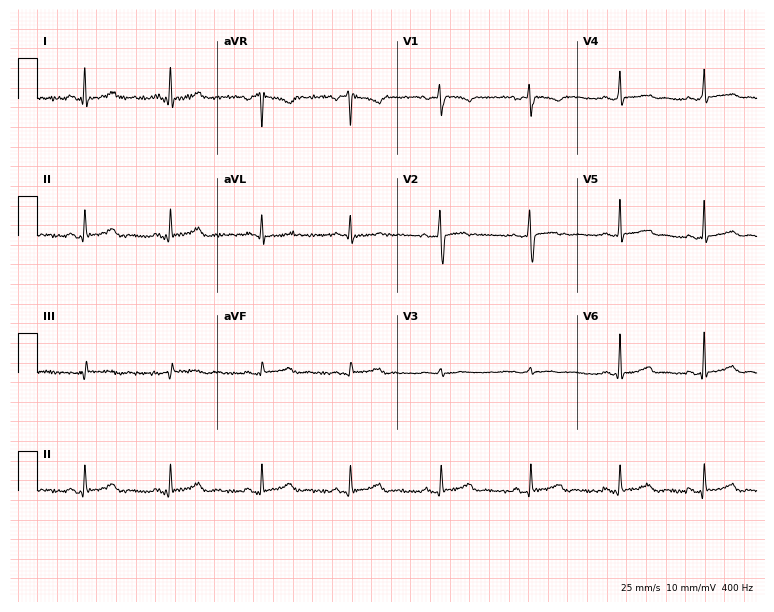
12-lead ECG from a 58-year-old female patient (7.3-second recording at 400 Hz). No first-degree AV block, right bundle branch block, left bundle branch block, sinus bradycardia, atrial fibrillation or sinus tachycardia recorded for this tracing. Findings outside these six are not listed.